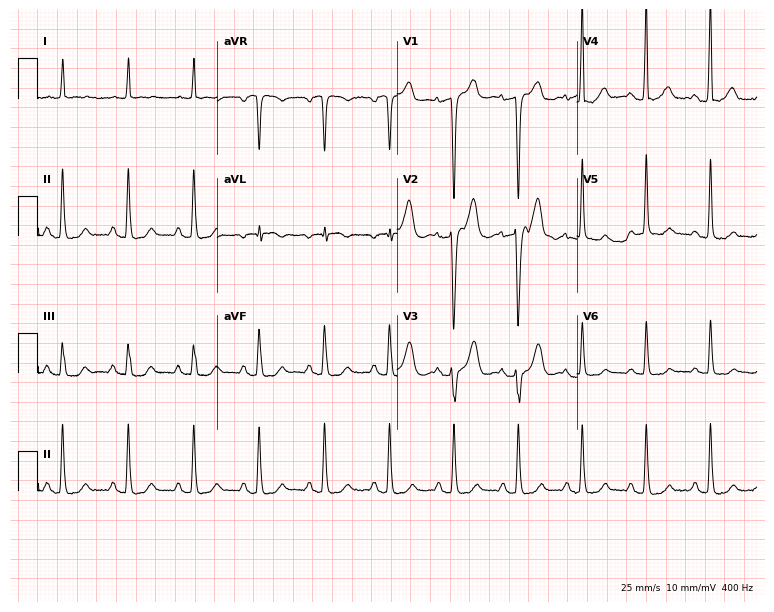
Resting 12-lead electrocardiogram (7.3-second recording at 400 Hz). Patient: a 73-year-old man. None of these six findings is recorded: first-degree AV block, right bundle branch block, left bundle branch block, sinus bradycardia, atrial fibrillation, sinus tachycardia.